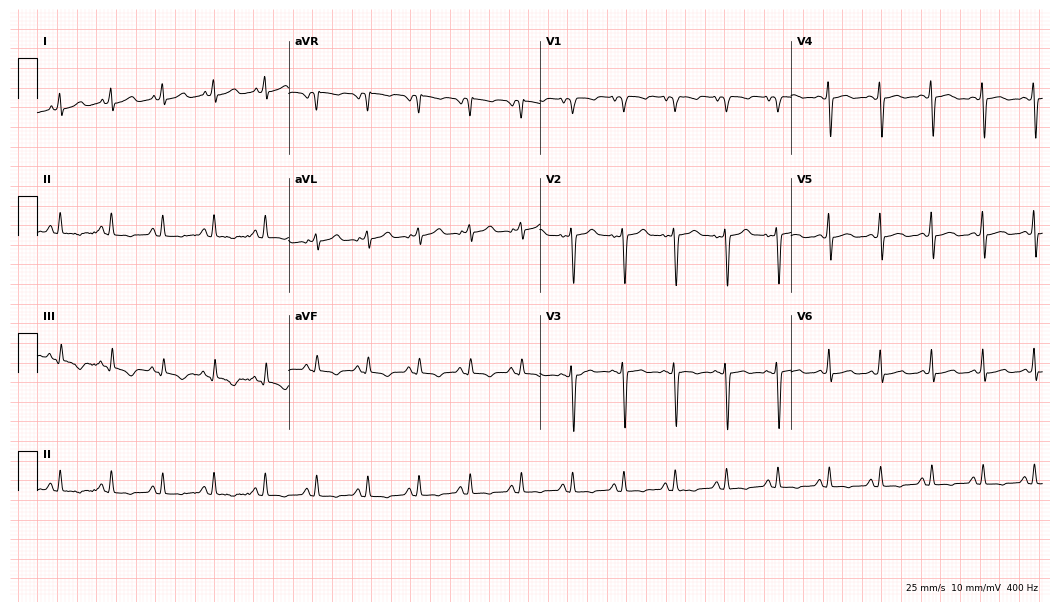
Resting 12-lead electrocardiogram. Patient: a male, 31 years old. The tracing shows sinus tachycardia (a sinus rate of 100 beats per minute or more).